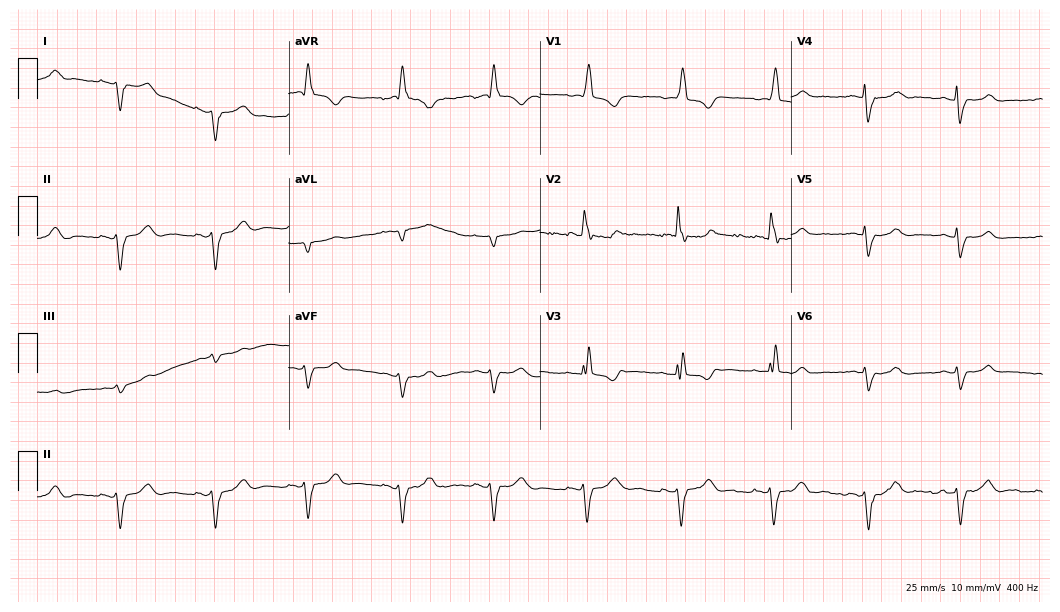
Resting 12-lead electrocardiogram. Patient: an 83-year-old female. The tracing shows right bundle branch block.